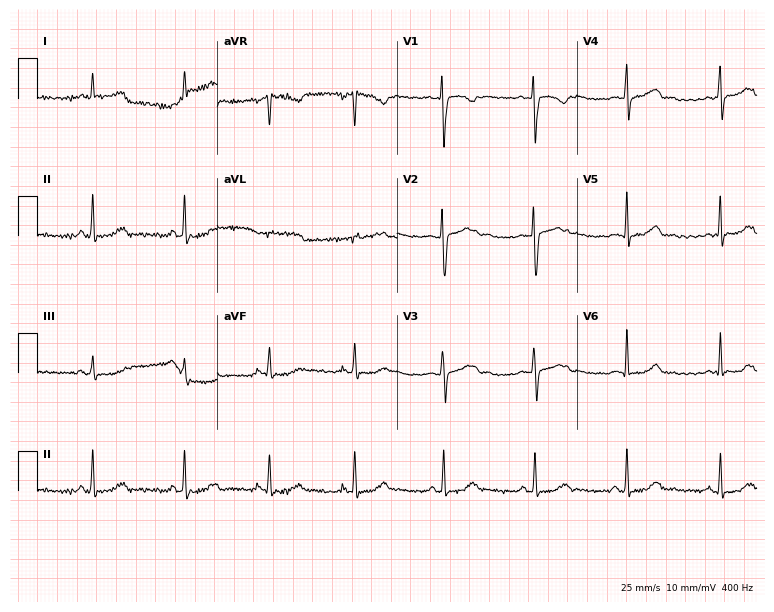
Electrocardiogram, a 28-year-old female. Of the six screened findings (first-degree AV block, right bundle branch block, left bundle branch block, sinus bradycardia, atrial fibrillation, sinus tachycardia), none is recorded.